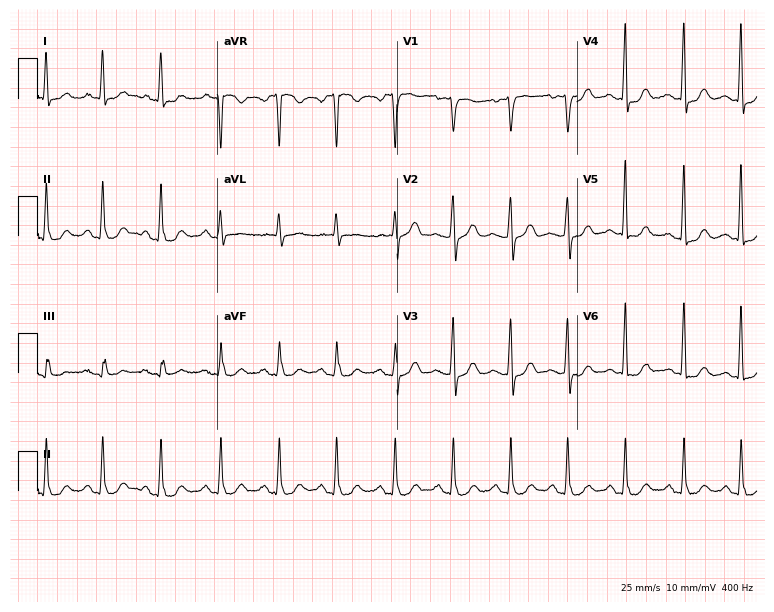
ECG (7.3-second recording at 400 Hz) — a female, 51 years old. Screened for six findings — first-degree AV block, right bundle branch block, left bundle branch block, sinus bradycardia, atrial fibrillation, sinus tachycardia — none is recorded.